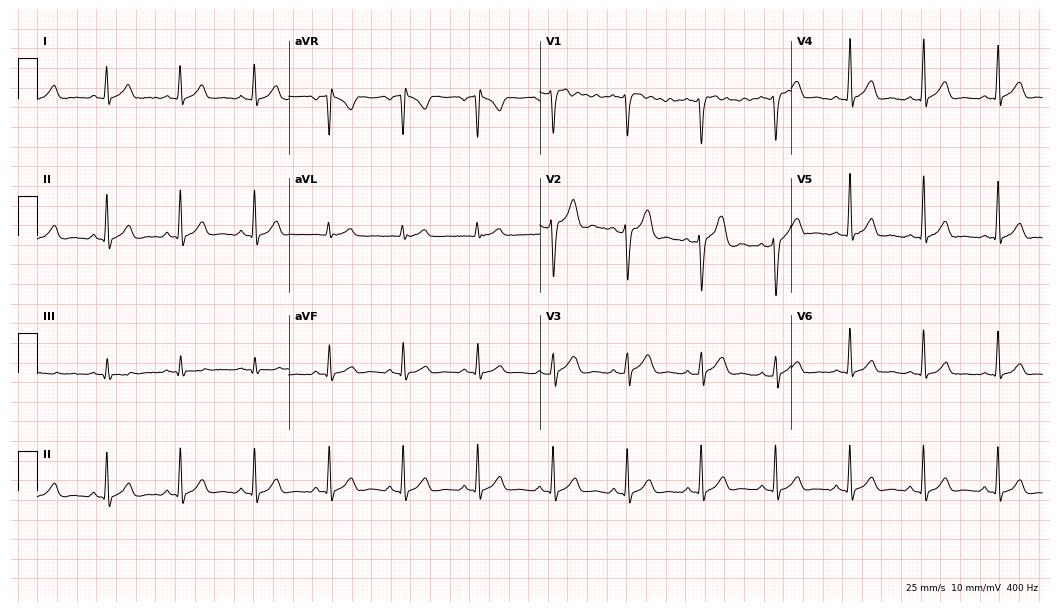
12-lead ECG (10.2-second recording at 400 Hz) from a 33-year-old man. Labelled as a normal ECG.